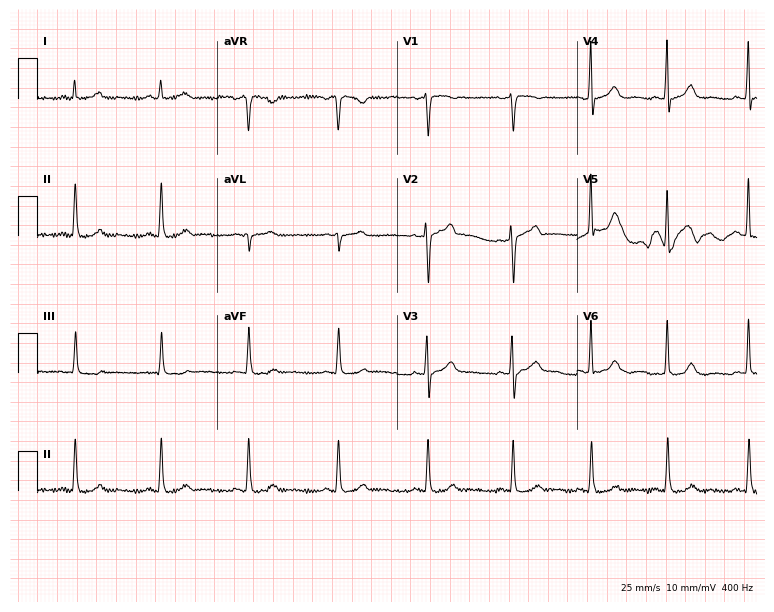
Resting 12-lead electrocardiogram (7.3-second recording at 400 Hz). Patient: a 37-year-old woman. None of these six findings is recorded: first-degree AV block, right bundle branch block, left bundle branch block, sinus bradycardia, atrial fibrillation, sinus tachycardia. Findings outside these six are not listed.